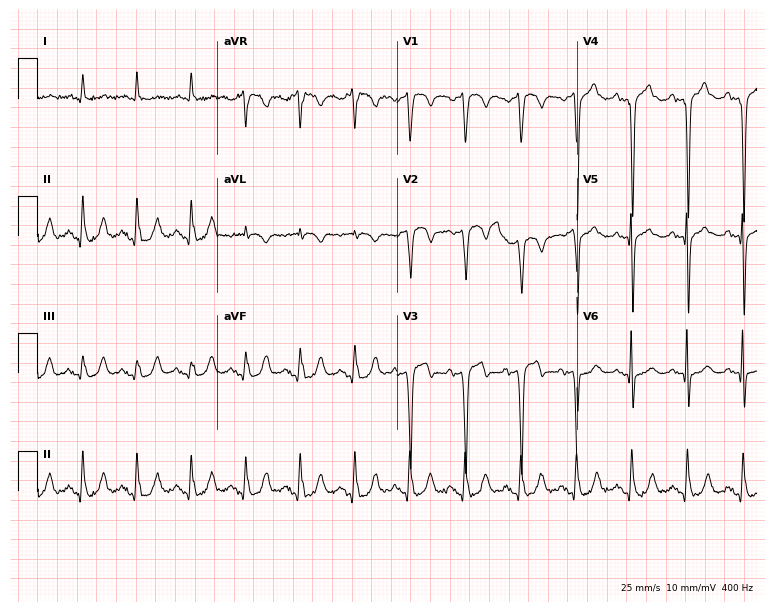
12-lead ECG from a male patient, 81 years old (7.3-second recording at 400 Hz). No first-degree AV block, right bundle branch block, left bundle branch block, sinus bradycardia, atrial fibrillation or sinus tachycardia recorded for this tracing.